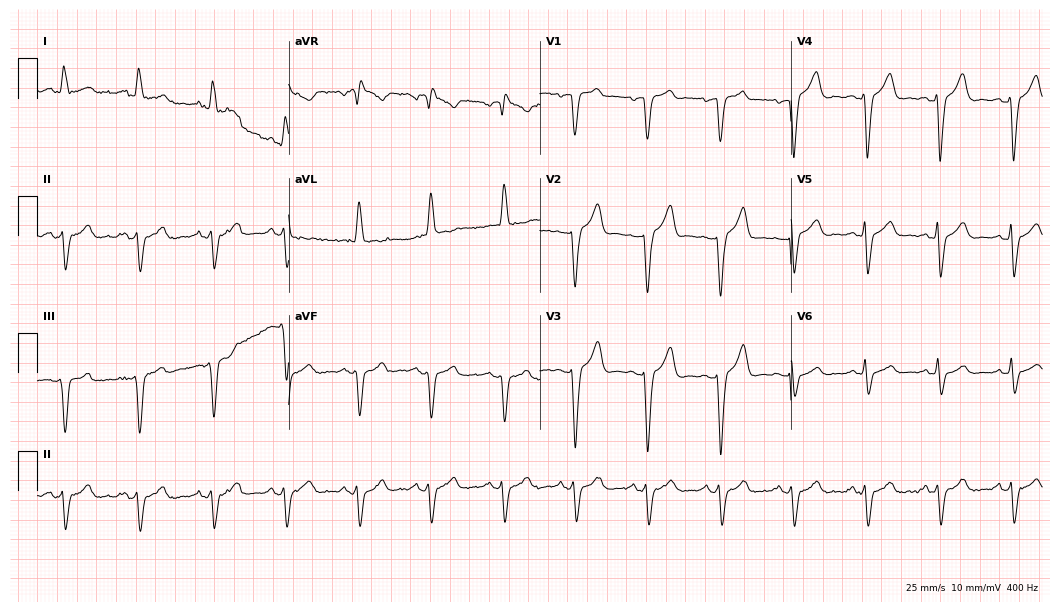
12-lead ECG from a 72-year-old male patient. Screened for six findings — first-degree AV block, right bundle branch block, left bundle branch block, sinus bradycardia, atrial fibrillation, sinus tachycardia — none is recorded. Findings outside these six are not listed.